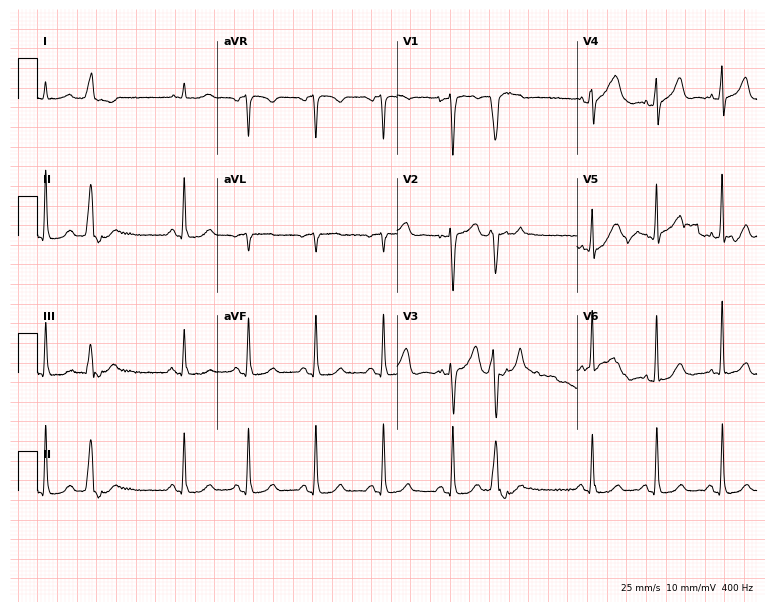
12-lead ECG from a 69-year-old male (7.3-second recording at 400 Hz). No first-degree AV block, right bundle branch block, left bundle branch block, sinus bradycardia, atrial fibrillation or sinus tachycardia recorded for this tracing. Findings outside these six are not listed.